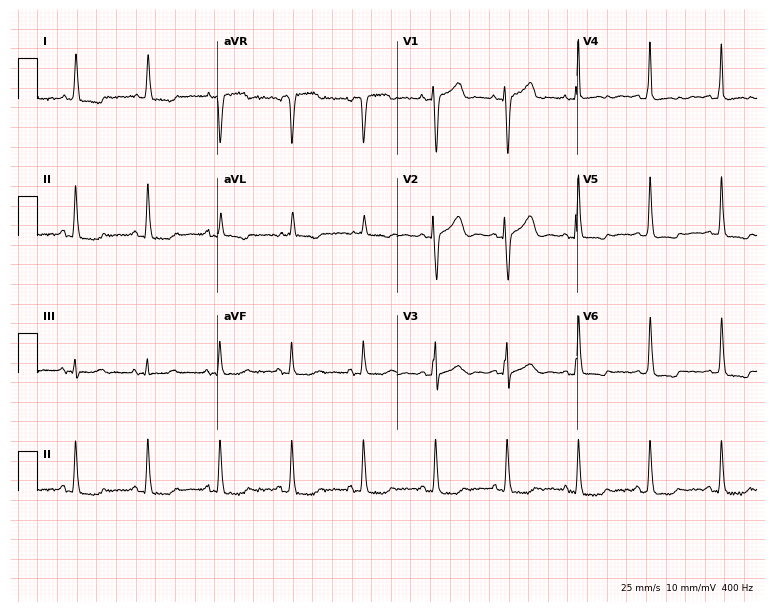
12-lead ECG from a 78-year-old woman. No first-degree AV block, right bundle branch block (RBBB), left bundle branch block (LBBB), sinus bradycardia, atrial fibrillation (AF) or sinus tachycardia recorded for this tracing. Only these six findings were labelled.